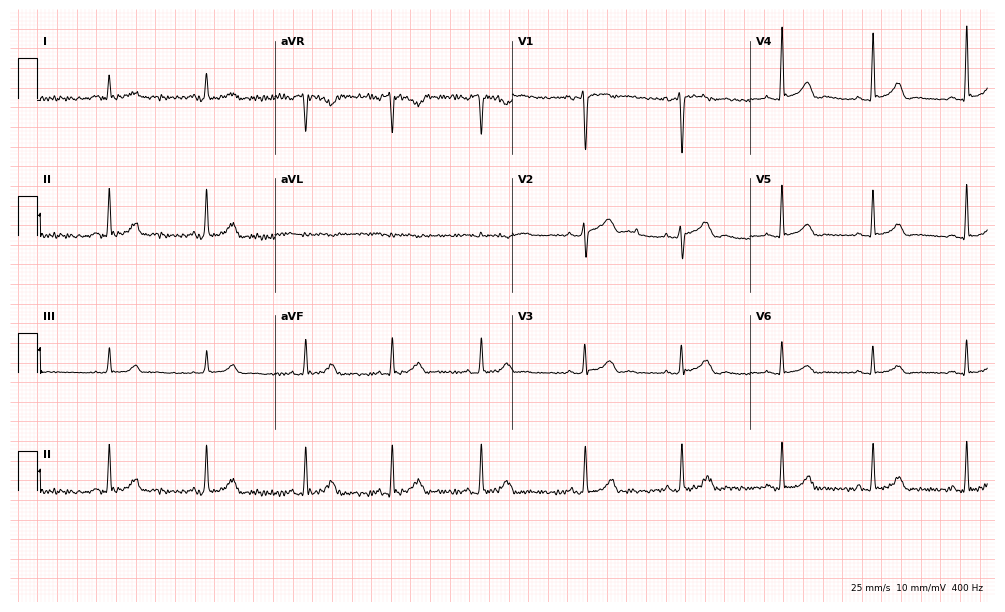
12-lead ECG (9.7-second recording at 400 Hz) from a 34-year-old female patient. Labelled as a normal ECG.